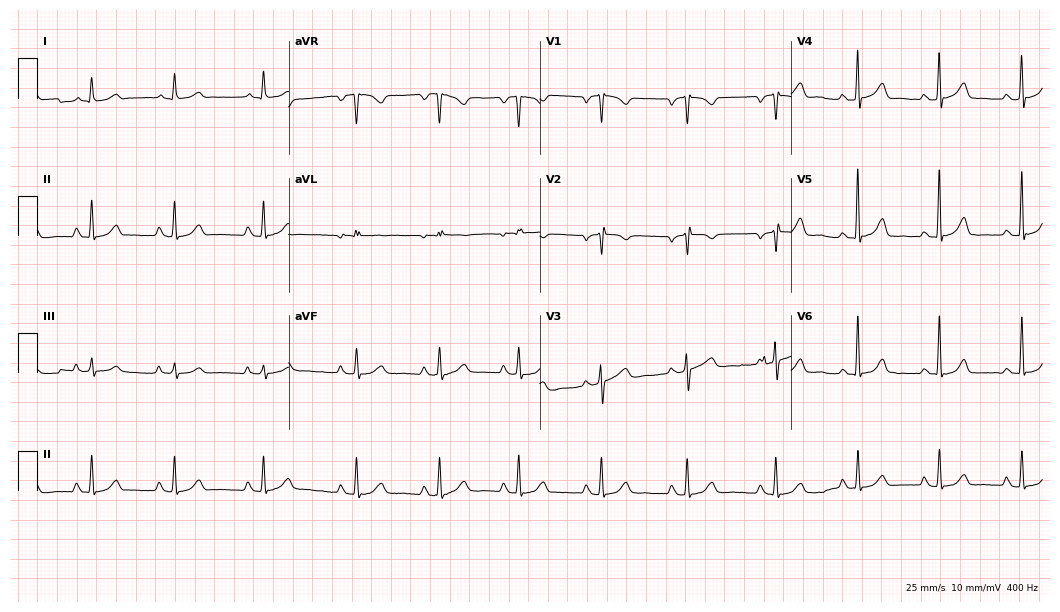
Resting 12-lead electrocardiogram (10.2-second recording at 400 Hz). Patient: a female, 51 years old. None of these six findings is recorded: first-degree AV block, right bundle branch block, left bundle branch block, sinus bradycardia, atrial fibrillation, sinus tachycardia.